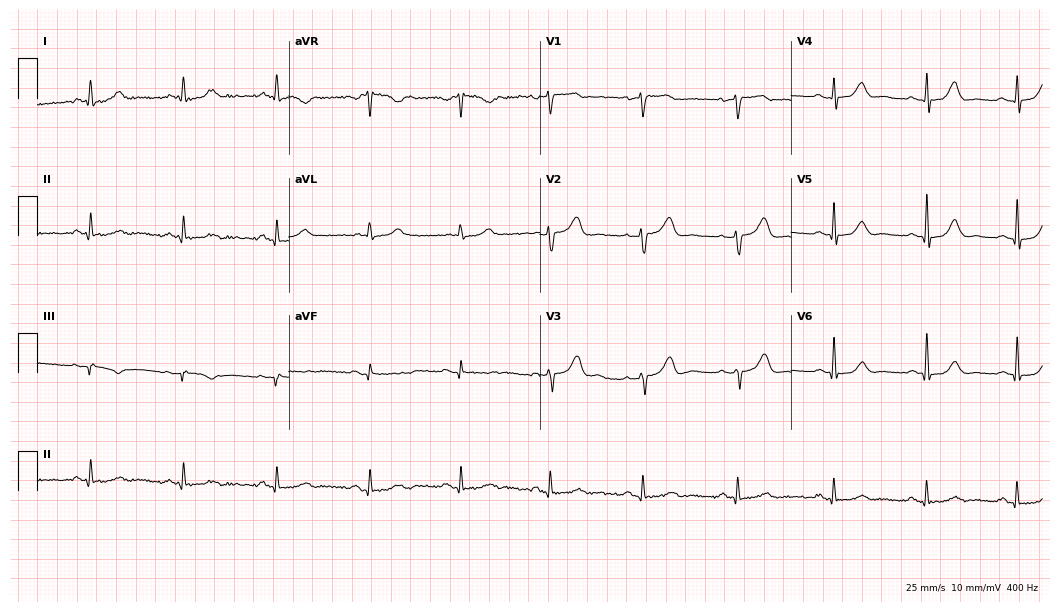
Resting 12-lead electrocardiogram (10.2-second recording at 400 Hz). Patient: a 44-year-old woman. Read as a normal ECG.